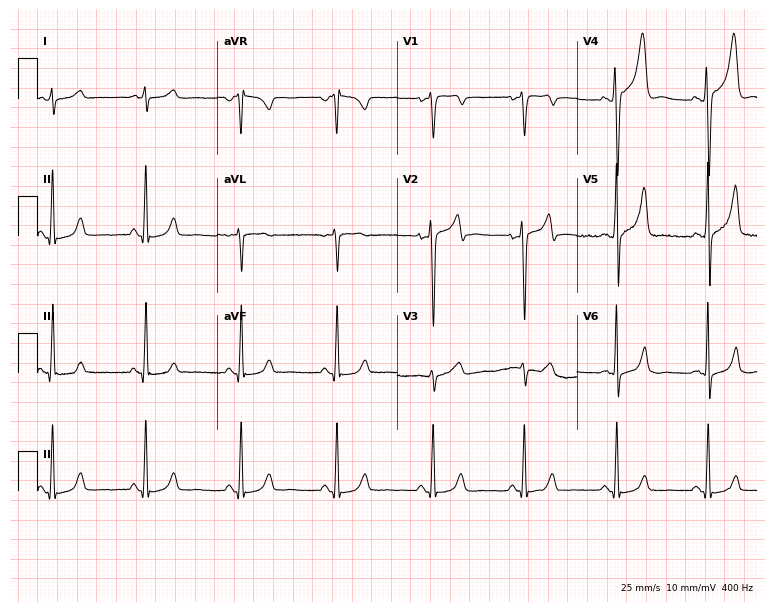
12-lead ECG from a 42-year-old male (7.3-second recording at 400 Hz). No first-degree AV block, right bundle branch block (RBBB), left bundle branch block (LBBB), sinus bradycardia, atrial fibrillation (AF) or sinus tachycardia recorded for this tracing.